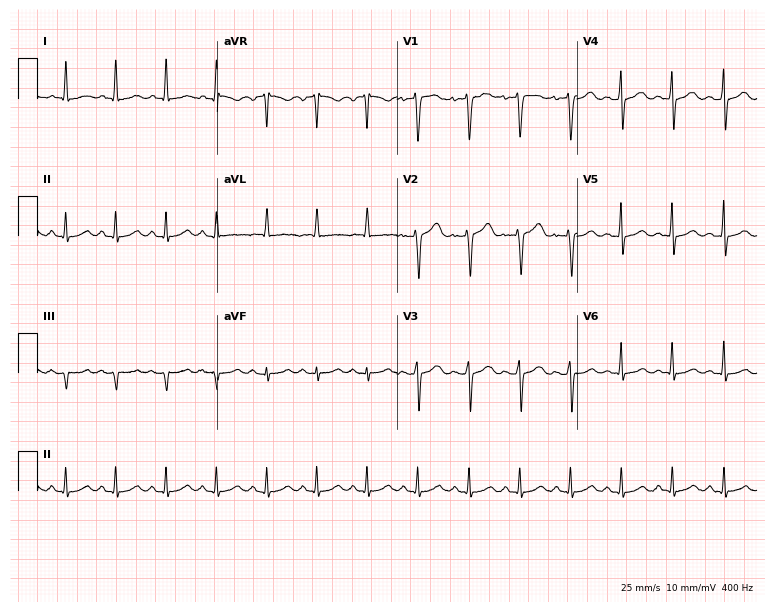
ECG (7.3-second recording at 400 Hz) — a 39-year-old man. Findings include sinus tachycardia (a sinus rate of 100 beats per minute or more).